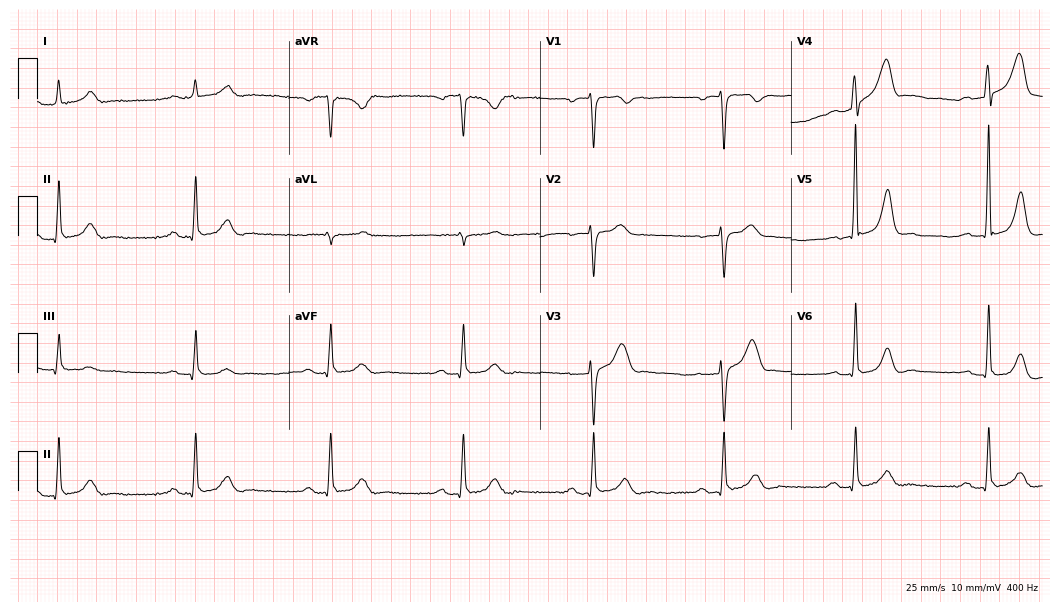
12-lead ECG (10.2-second recording at 400 Hz) from a male, 67 years old. Findings include first-degree AV block, sinus bradycardia (a sinus rate of 50 beats per minute or less).